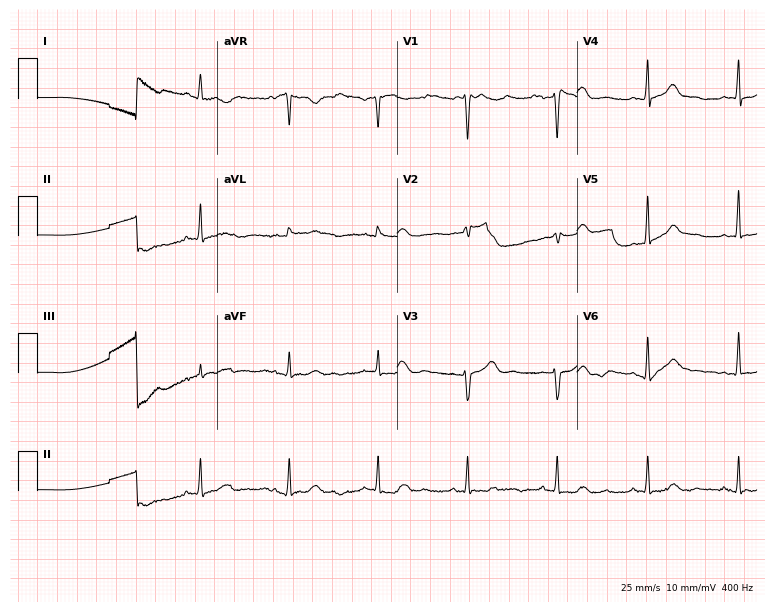
ECG — a 47-year-old female patient. Screened for six findings — first-degree AV block, right bundle branch block (RBBB), left bundle branch block (LBBB), sinus bradycardia, atrial fibrillation (AF), sinus tachycardia — none is recorded.